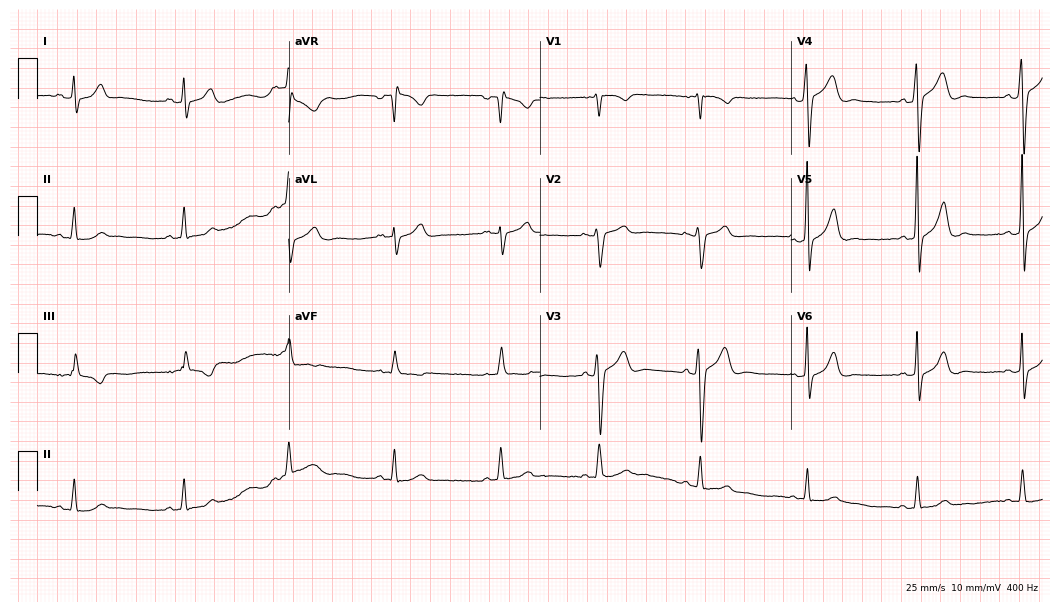
ECG — a man, 35 years old. Labelled as a normal ECG.